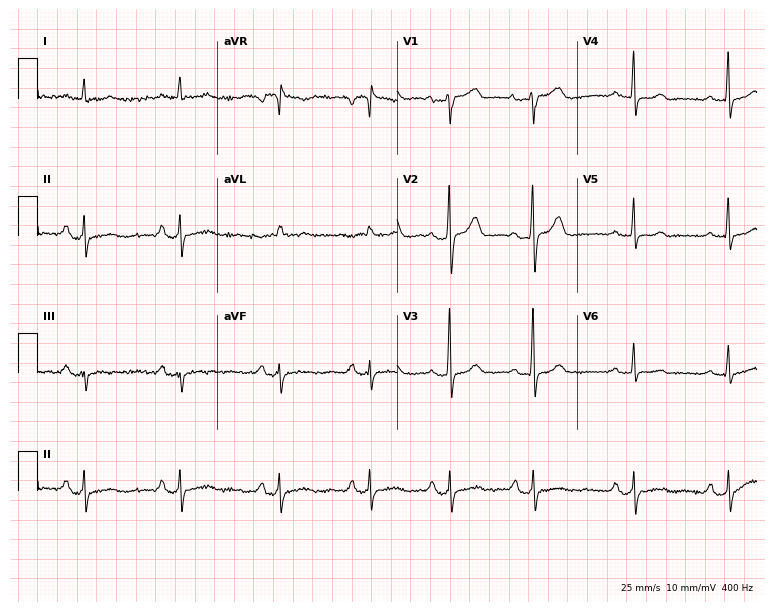
12-lead ECG from a woman, 39 years old. Screened for six findings — first-degree AV block, right bundle branch block, left bundle branch block, sinus bradycardia, atrial fibrillation, sinus tachycardia — none is recorded. Findings outside these six are not listed.